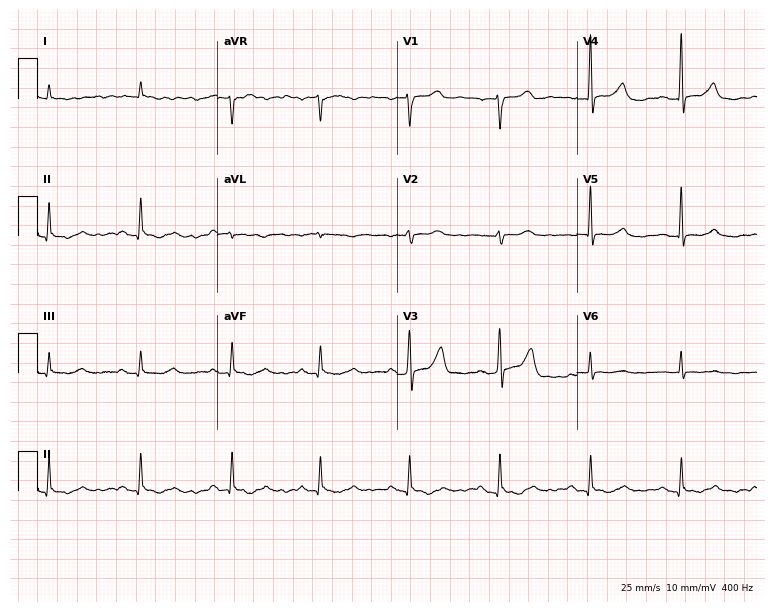
Resting 12-lead electrocardiogram (7.3-second recording at 400 Hz). Patient: a 65-year-old male. None of these six findings is recorded: first-degree AV block, right bundle branch block, left bundle branch block, sinus bradycardia, atrial fibrillation, sinus tachycardia.